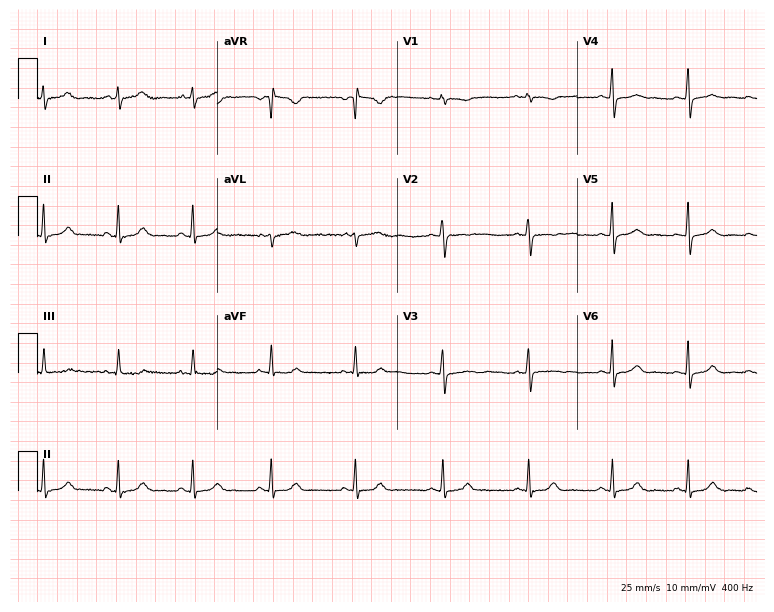
ECG — a 25-year-old female. Labelled as a normal ECG.